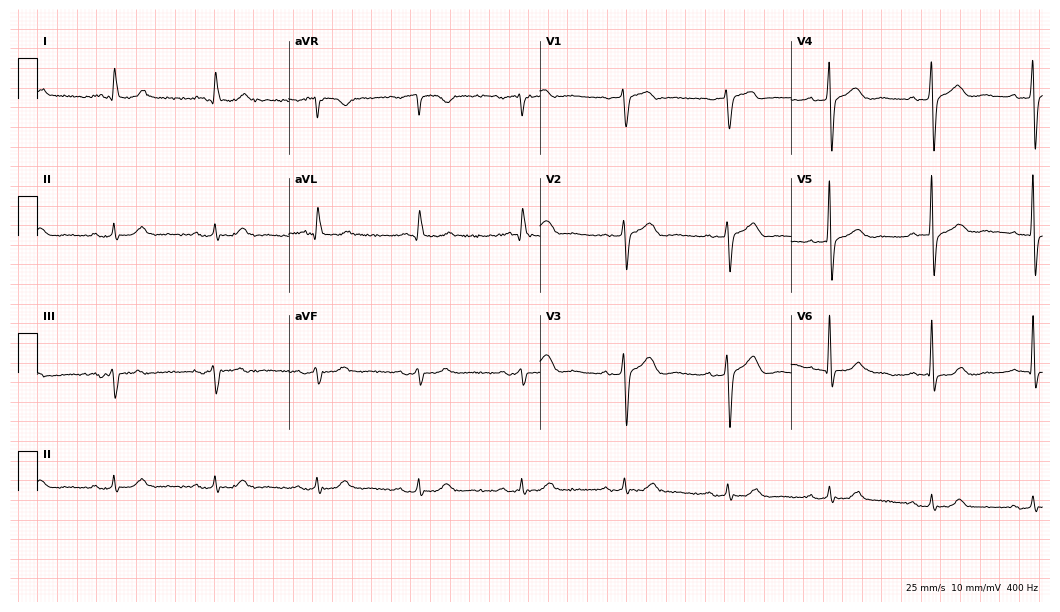
12-lead ECG (10.2-second recording at 400 Hz) from a 71-year-old man. Screened for six findings — first-degree AV block, right bundle branch block, left bundle branch block, sinus bradycardia, atrial fibrillation, sinus tachycardia — none is recorded.